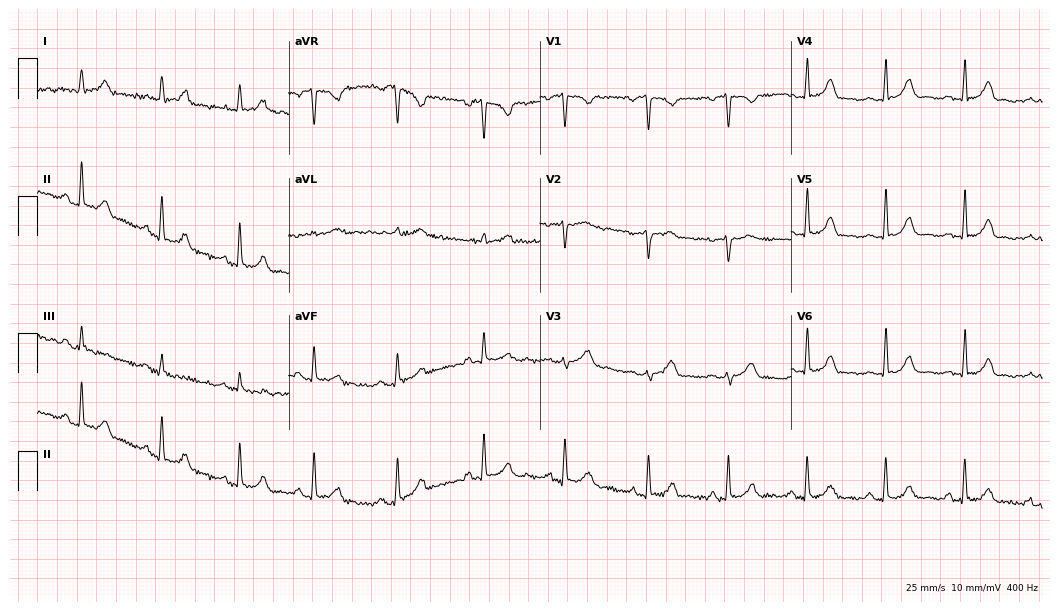
Standard 12-lead ECG recorded from a 35-year-old woman (10.2-second recording at 400 Hz). Read as a normal ECG.